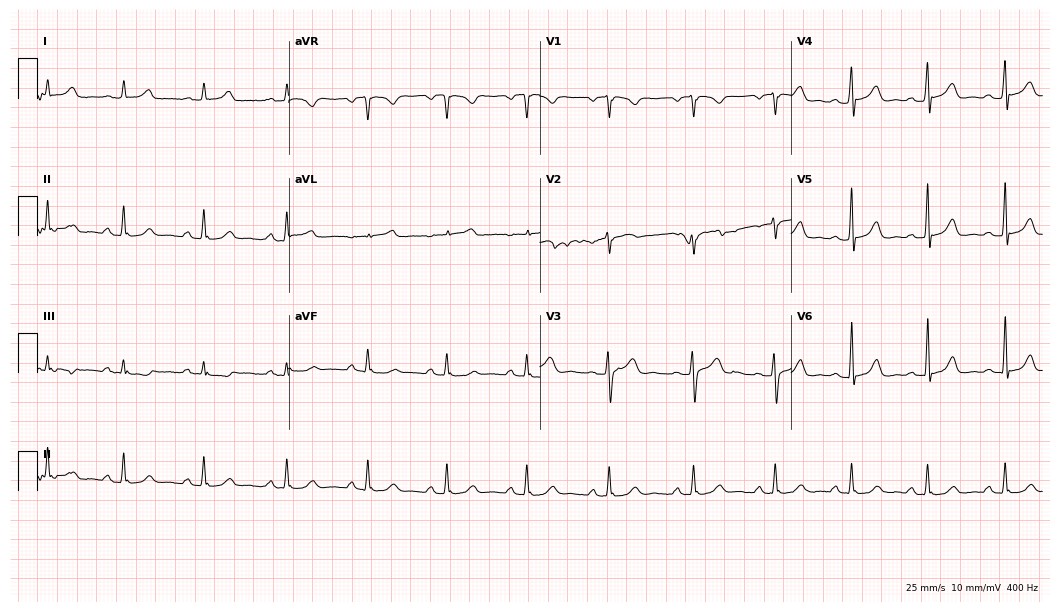
Electrocardiogram, a 34-year-old man. Overall reading on record: normal ECG.